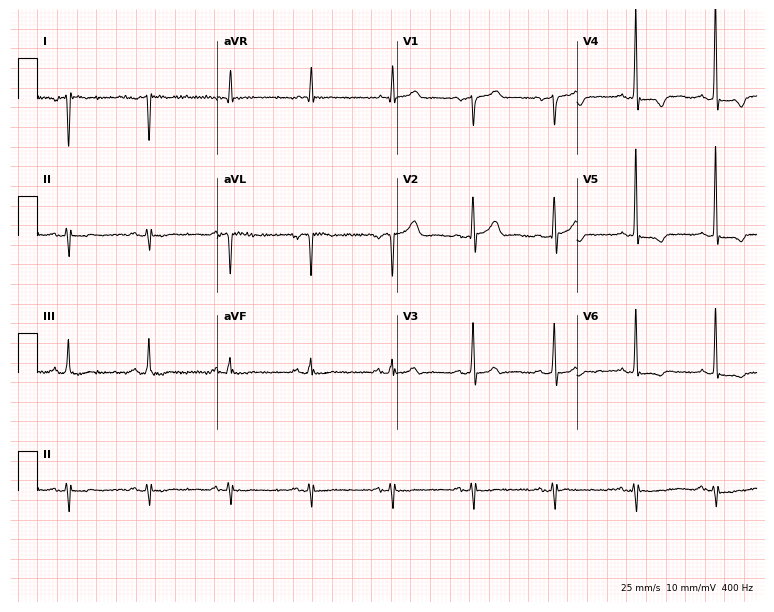
12-lead ECG from a male, 68 years old. No first-degree AV block, right bundle branch block (RBBB), left bundle branch block (LBBB), sinus bradycardia, atrial fibrillation (AF) or sinus tachycardia recorded for this tracing. Findings outside these six are not listed.